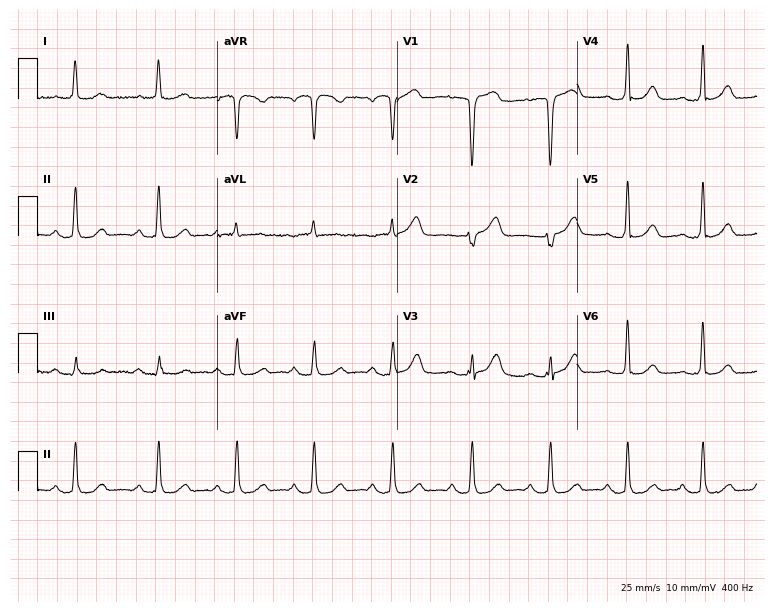
Standard 12-lead ECG recorded from a female, 63 years old. None of these six findings is recorded: first-degree AV block, right bundle branch block, left bundle branch block, sinus bradycardia, atrial fibrillation, sinus tachycardia. Other findings, if any, are not listed.